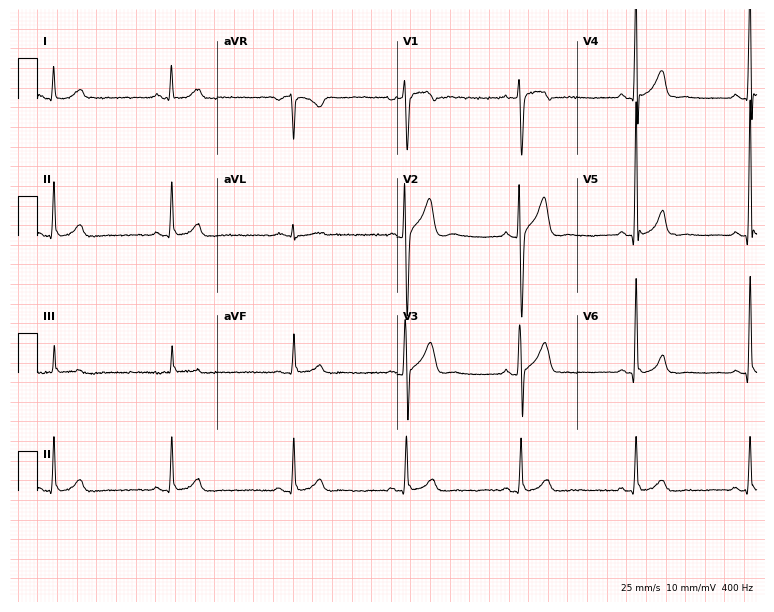
12-lead ECG from a man, 25 years old (7.3-second recording at 400 Hz). No first-degree AV block, right bundle branch block, left bundle branch block, sinus bradycardia, atrial fibrillation or sinus tachycardia recorded for this tracing. Only these six findings were labelled.